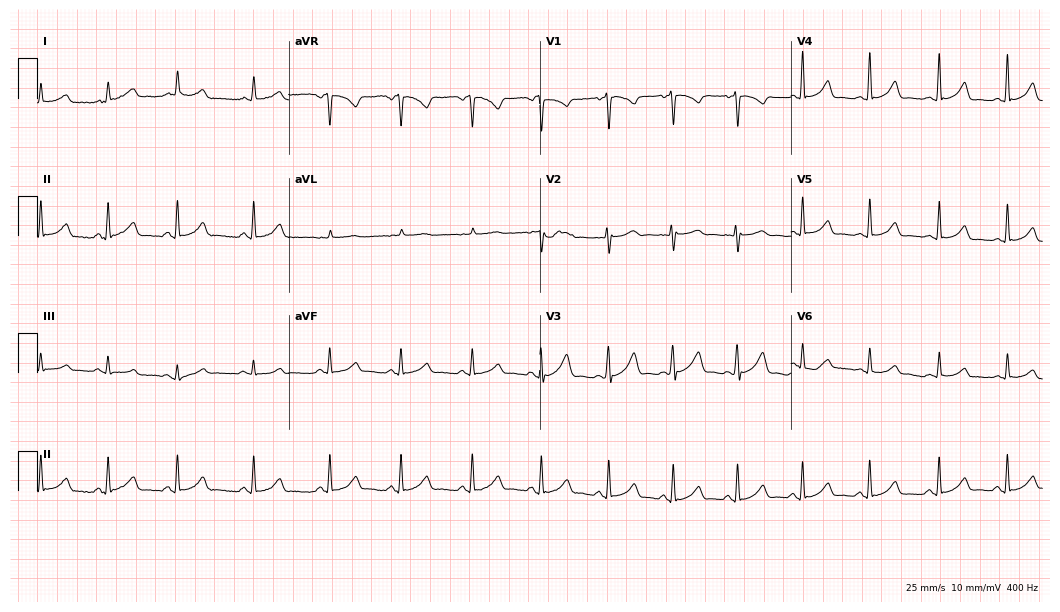
12-lead ECG (10.2-second recording at 400 Hz) from a 27-year-old woman. Labelled as a normal ECG.